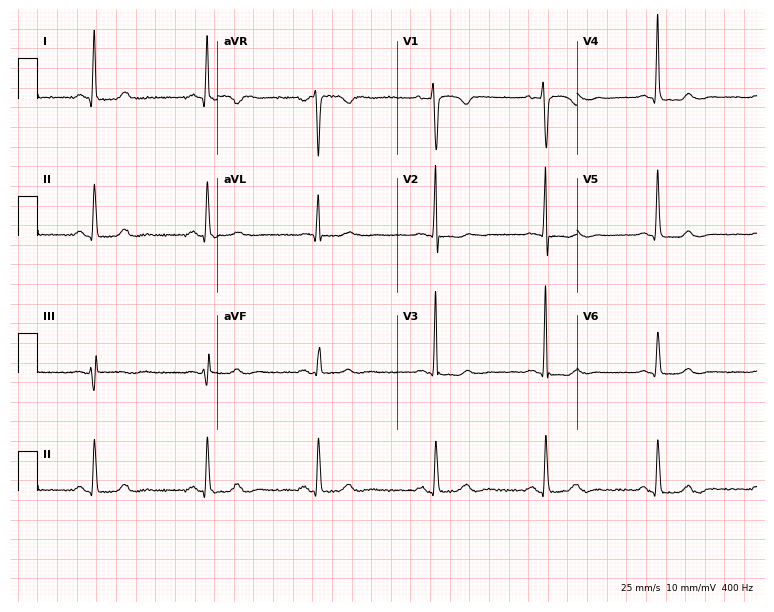
Resting 12-lead electrocardiogram (7.3-second recording at 400 Hz). Patient: a female, 65 years old. Read as a normal ECG.